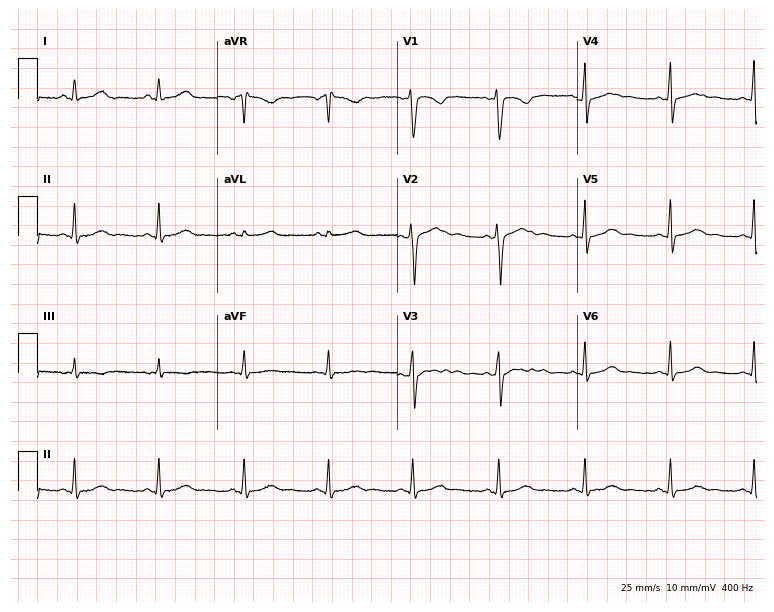
Standard 12-lead ECG recorded from a 36-year-old female. None of these six findings is recorded: first-degree AV block, right bundle branch block, left bundle branch block, sinus bradycardia, atrial fibrillation, sinus tachycardia.